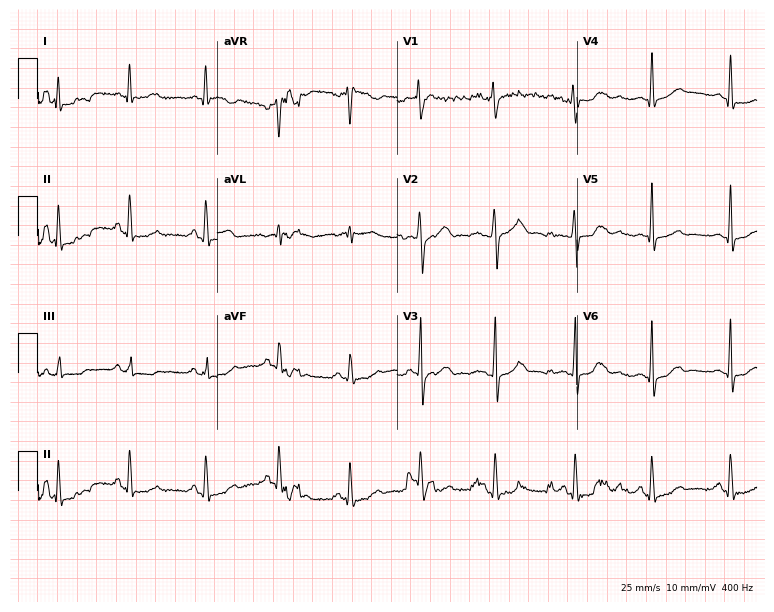
Resting 12-lead electrocardiogram. Patient: a 32-year-old female. None of these six findings is recorded: first-degree AV block, right bundle branch block (RBBB), left bundle branch block (LBBB), sinus bradycardia, atrial fibrillation (AF), sinus tachycardia.